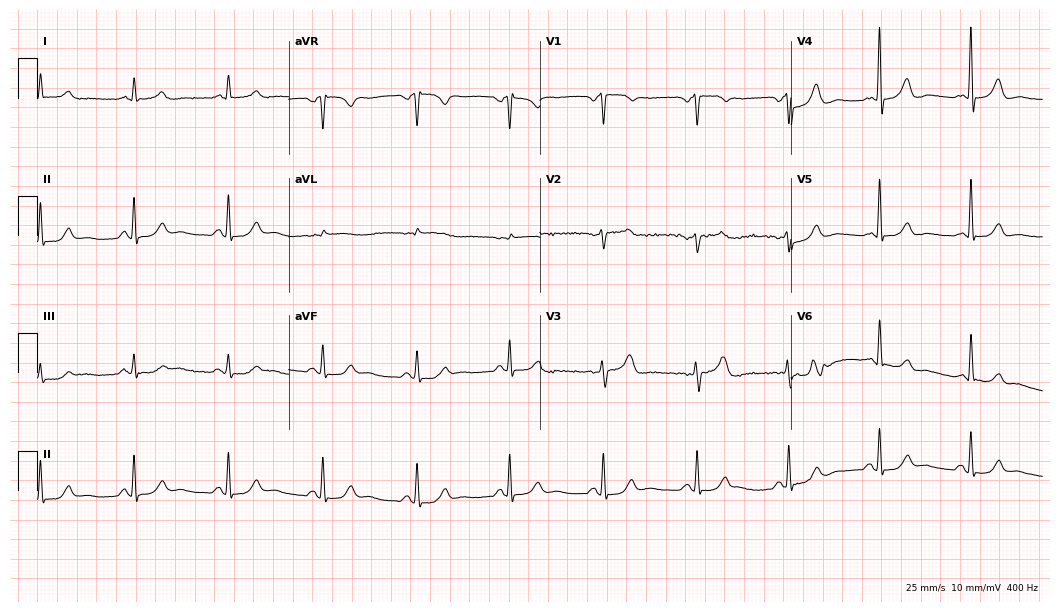
12-lead ECG from a female patient, 81 years old. No first-degree AV block, right bundle branch block, left bundle branch block, sinus bradycardia, atrial fibrillation or sinus tachycardia recorded for this tracing. Other findings, if any, are not listed.